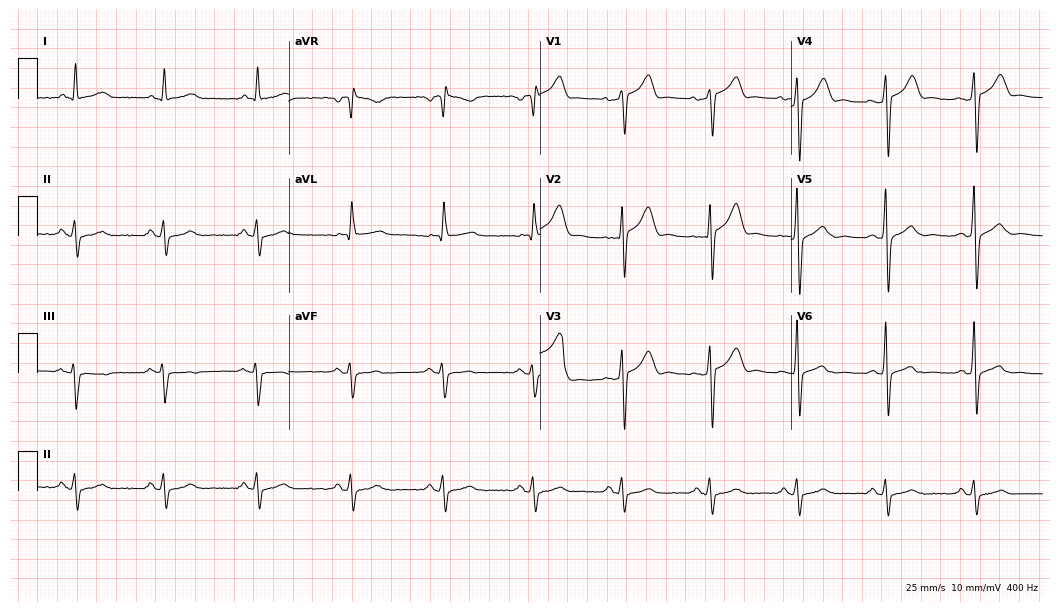
ECG (10.2-second recording at 400 Hz) — a male, 17 years old. Screened for six findings — first-degree AV block, right bundle branch block (RBBB), left bundle branch block (LBBB), sinus bradycardia, atrial fibrillation (AF), sinus tachycardia — none is recorded.